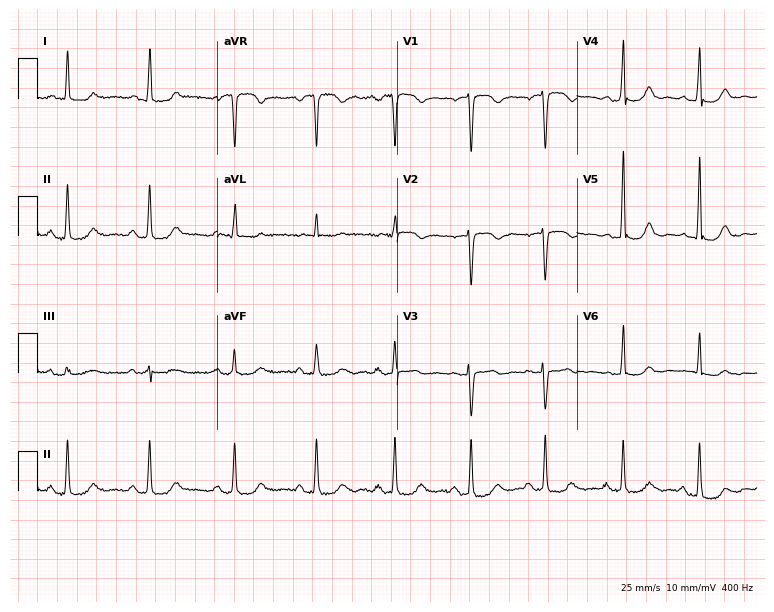
Resting 12-lead electrocardiogram (7.3-second recording at 400 Hz). Patient: a 75-year-old woman. Read as a normal ECG.